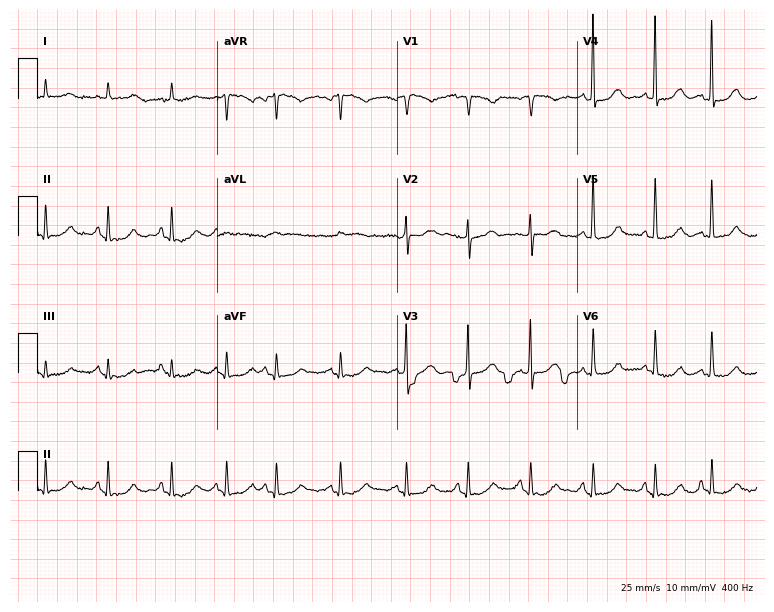
Electrocardiogram, an 84-year-old woman. Overall reading on record: normal ECG.